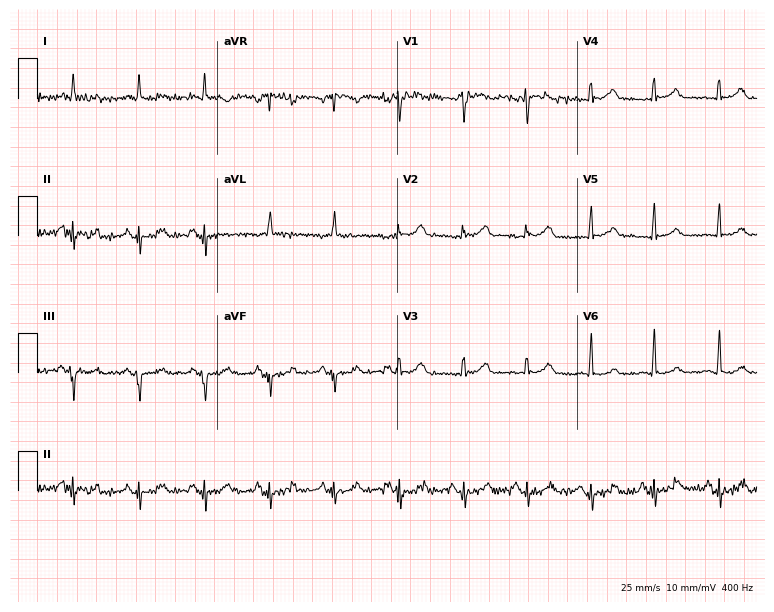
ECG — a male, 56 years old. Screened for six findings — first-degree AV block, right bundle branch block, left bundle branch block, sinus bradycardia, atrial fibrillation, sinus tachycardia — none is recorded. Findings outside these six are not listed.